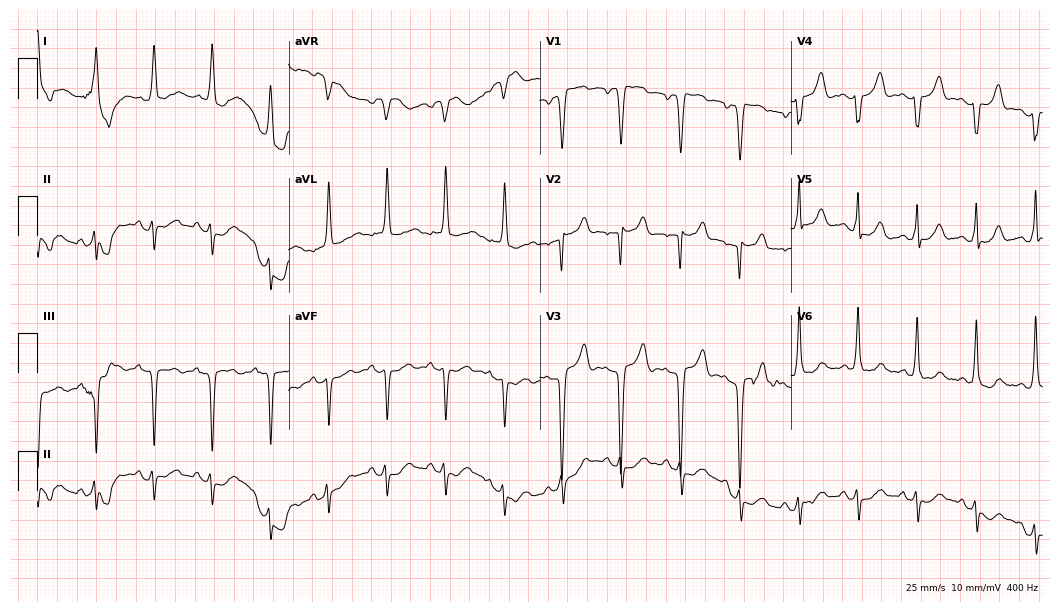
12-lead ECG from a woman, 77 years old. Shows sinus tachycardia (a sinus rate of 100 beats per minute or more).